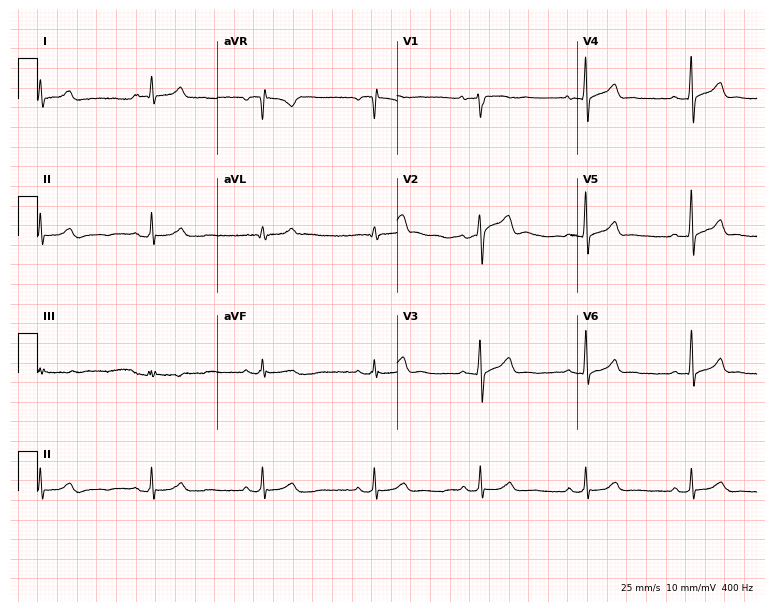
Electrocardiogram (7.3-second recording at 400 Hz), a man, 32 years old. Of the six screened findings (first-degree AV block, right bundle branch block, left bundle branch block, sinus bradycardia, atrial fibrillation, sinus tachycardia), none is recorded. Findings outside these six are not listed.